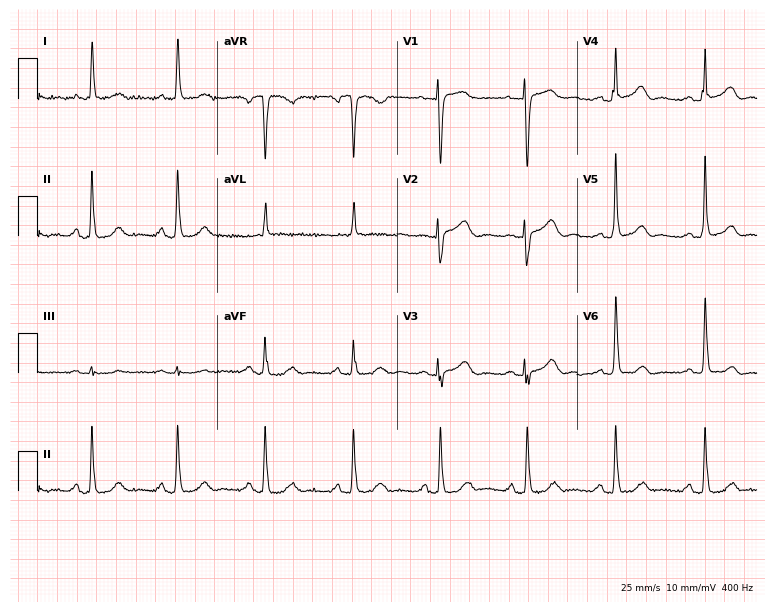
Standard 12-lead ECG recorded from a 71-year-old female. Read as a normal ECG.